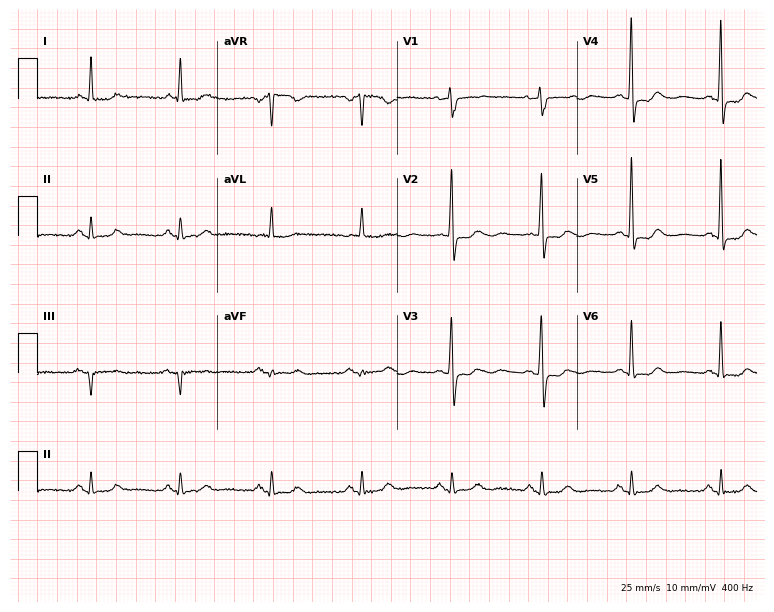
Resting 12-lead electrocardiogram (7.3-second recording at 400 Hz). Patient: an 81-year-old woman. None of these six findings is recorded: first-degree AV block, right bundle branch block, left bundle branch block, sinus bradycardia, atrial fibrillation, sinus tachycardia. Other findings, if any, are not listed.